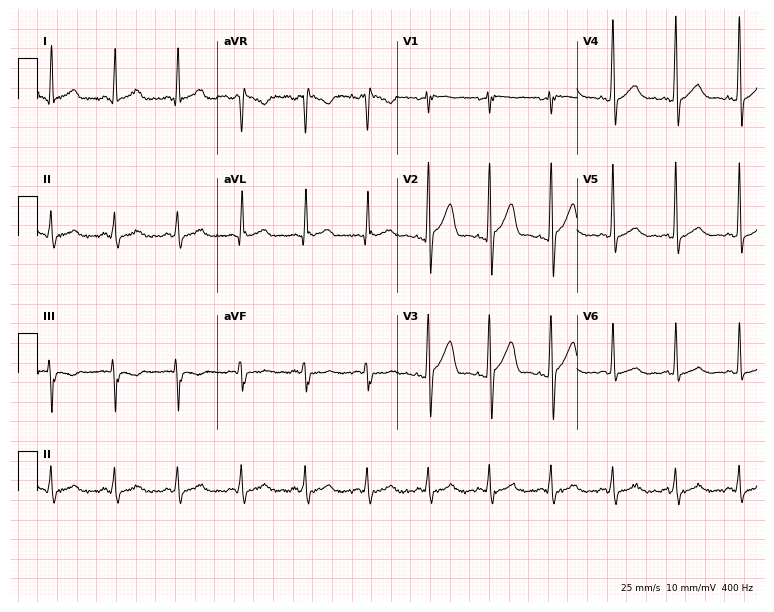
Standard 12-lead ECG recorded from a male, 44 years old. None of these six findings is recorded: first-degree AV block, right bundle branch block (RBBB), left bundle branch block (LBBB), sinus bradycardia, atrial fibrillation (AF), sinus tachycardia.